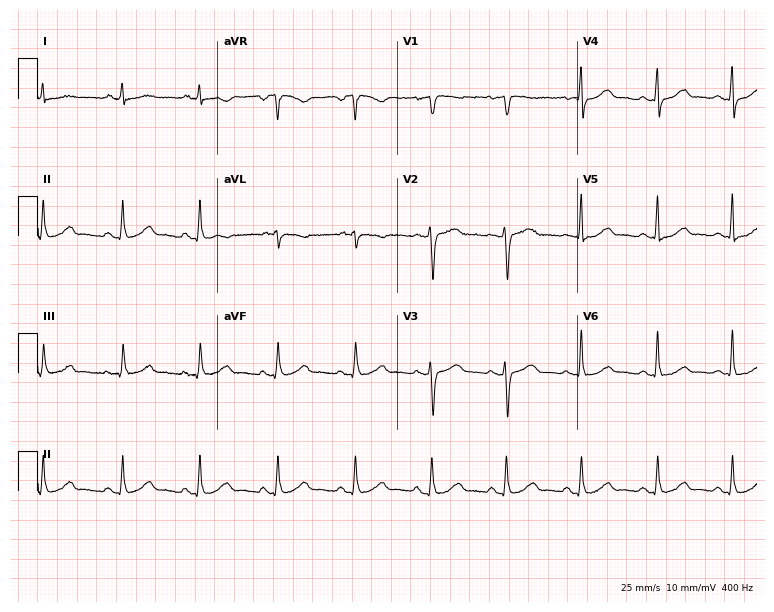
12-lead ECG from a female, 59 years old. No first-degree AV block, right bundle branch block, left bundle branch block, sinus bradycardia, atrial fibrillation or sinus tachycardia recorded for this tracing.